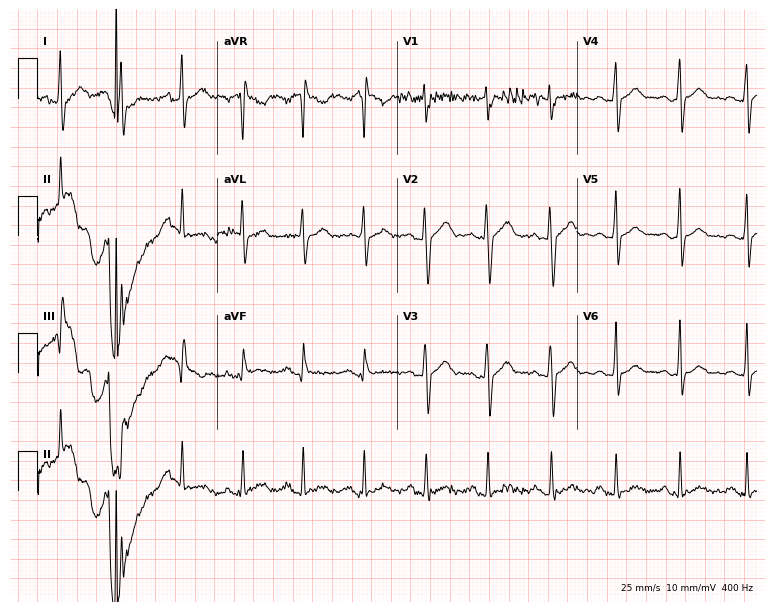
12-lead ECG from a male, 24 years old. No first-degree AV block, right bundle branch block, left bundle branch block, sinus bradycardia, atrial fibrillation or sinus tachycardia recorded for this tracing.